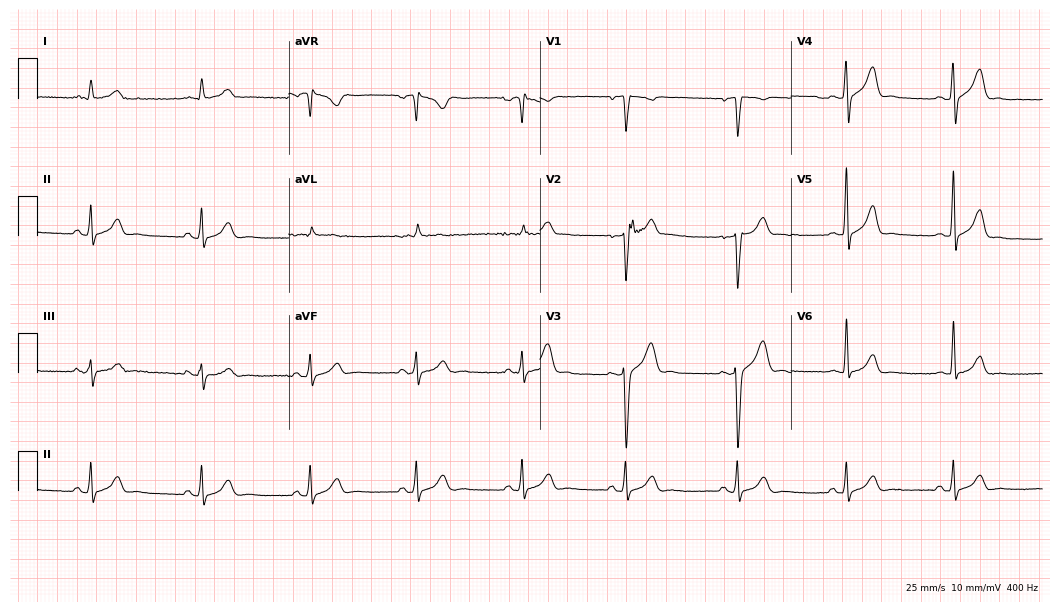
Resting 12-lead electrocardiogram (10.2-second recording at 400 Hz). Patient: a 49-year-old man. None of these six findings is recorded: first-degree AV block, right bundle branch block, left bundle branch block, sinus bradycardia, atrial fibrillation, sinus tachycardia.